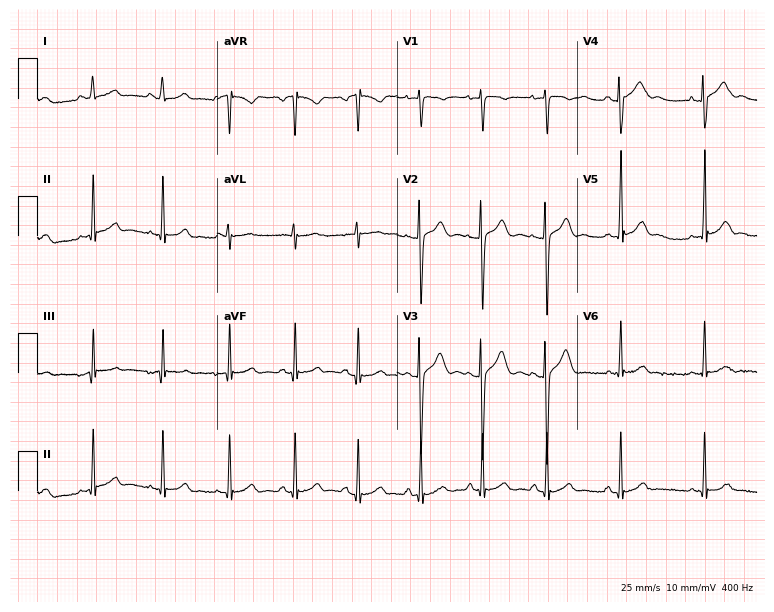
12-lead ECG from an 18-year-old female patient. No first-degree AV block, right bundle branch block, left bundle branch block, sinus bradycardia, atrial fibrillation or sinus tachycardia recorded for this tracing.